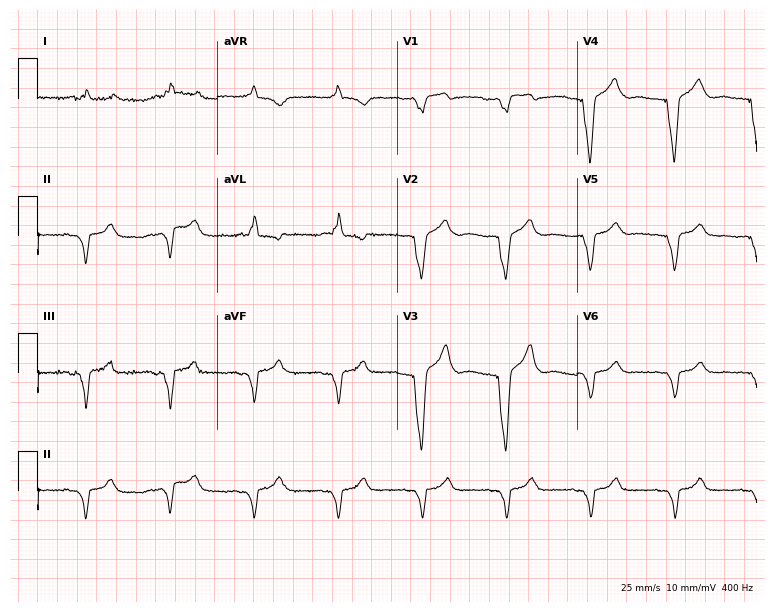
Standard 12-lead ECG recorded from a female, 85 years old (7.3-second recording at 400 Hz). None of these six findings is recorded: first-degree AV block, right bundle branch block, left bundle branch block, sinus bradycardia, atrial fibrillation, sinus tachycardia.